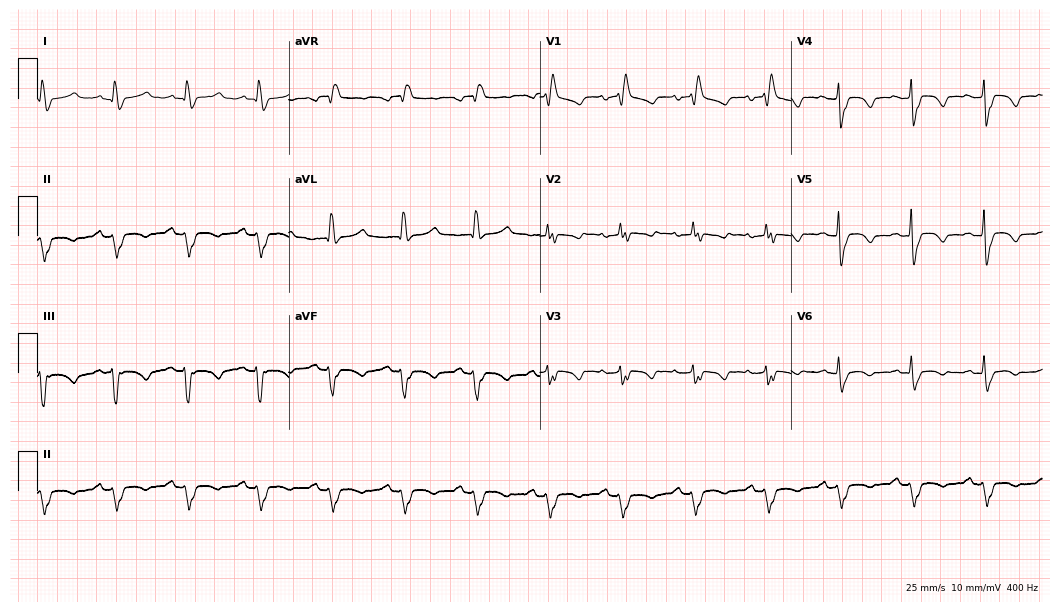
12-lead ECG from a 42-year-old male patient. Findings include right bundle branch block.